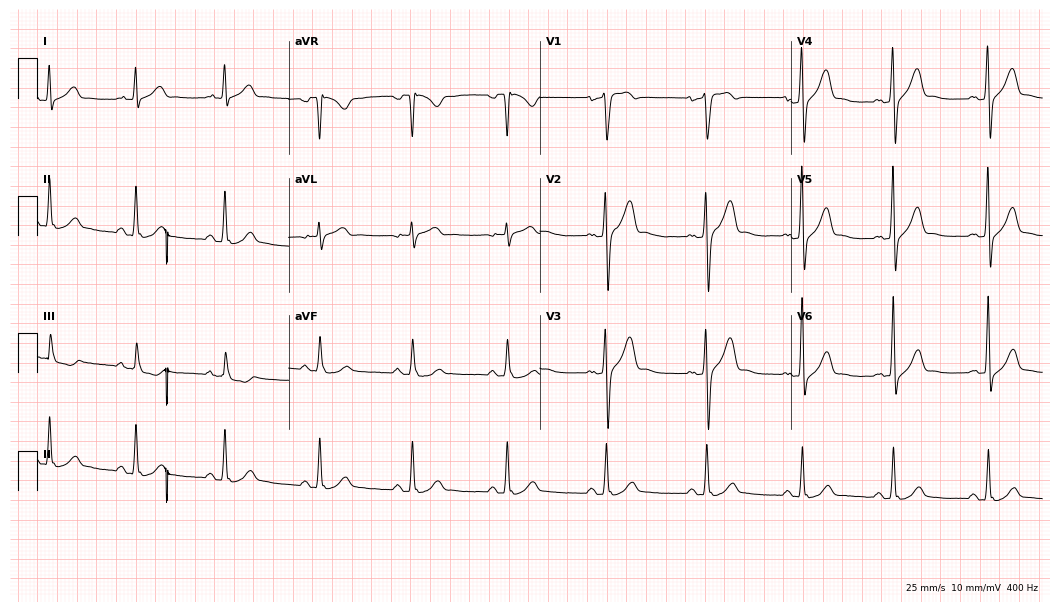
Electrocardiogram, a male patient, 50 years old. Overall reading on record: normal ECG.